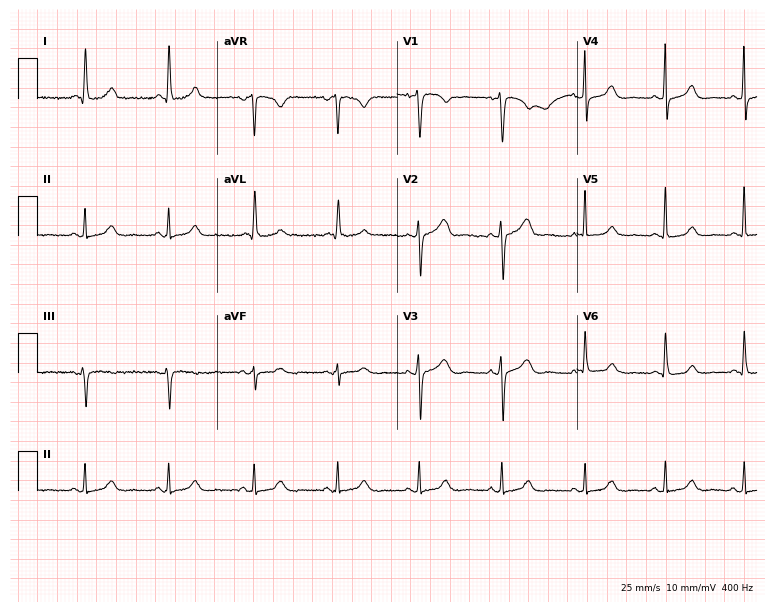
Resting 12-lead electrocardiogram. Patient: a 64-year-old woman. Read as a normal ECG.